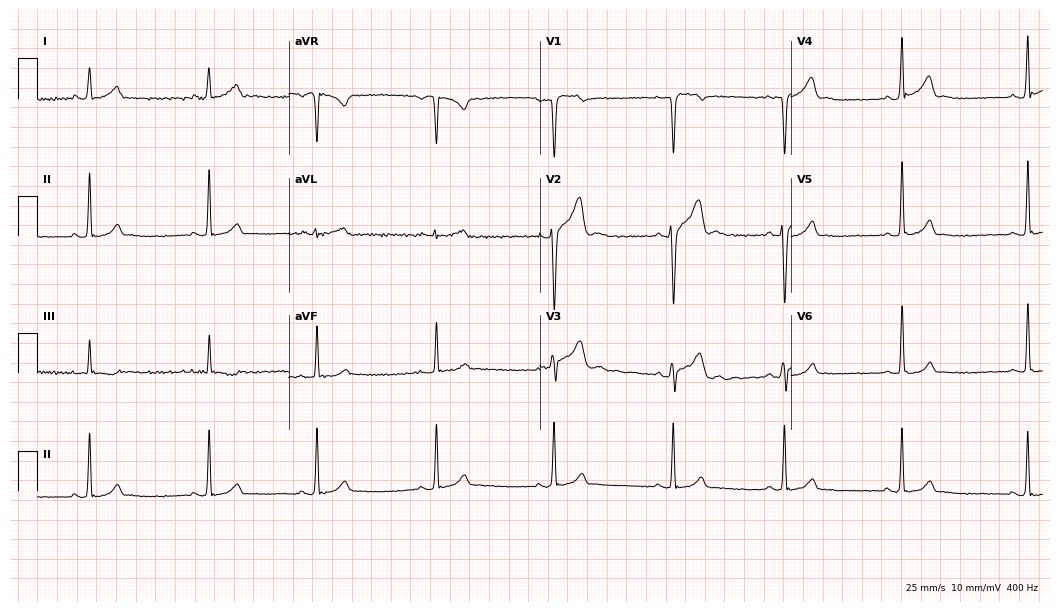
12-lead ECG (10.2-second recording at 400 Hz) from a woman, 20 years old. Labelled as a normal ECG.